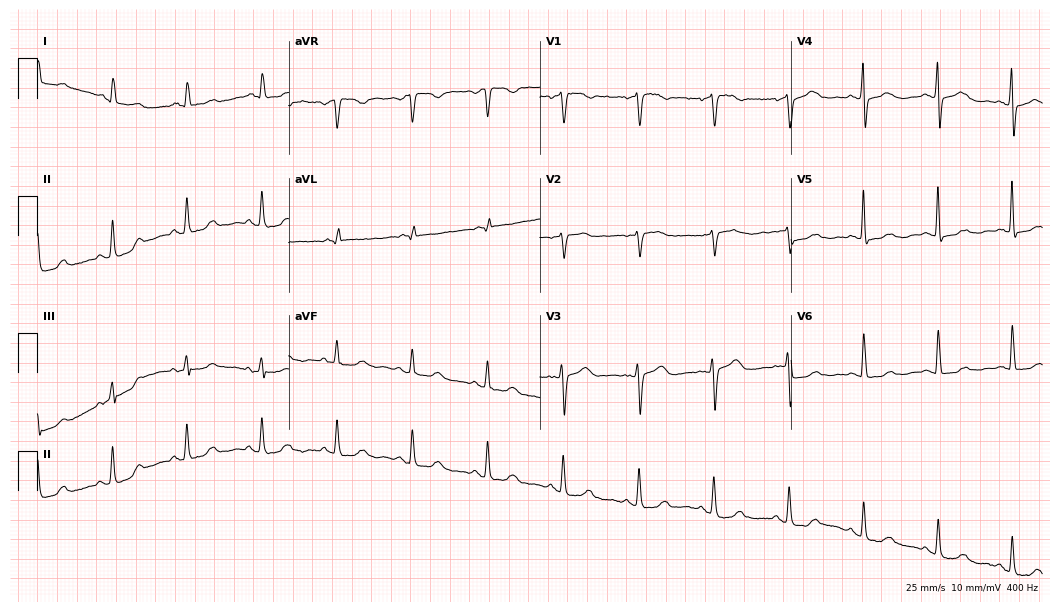
12-lead ECG from a 71-year-old woman. No first-degree AV block, right bundle branch block (RBBB), left bundle branch block (LBBB), sinus bradycardia, atrial fibrillation (AF) or sinus tachycardia recorded for this tracing.